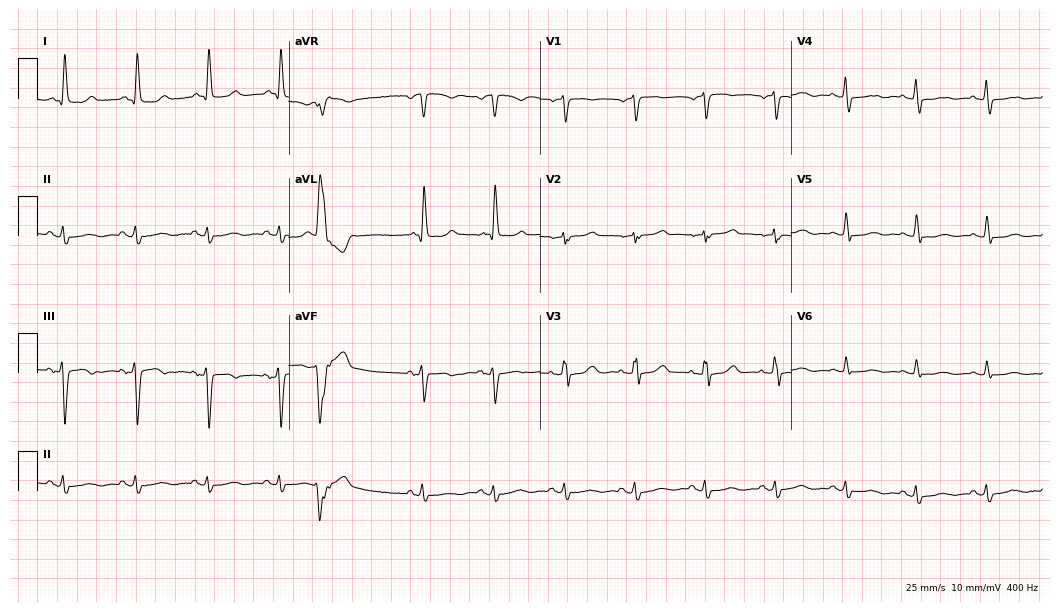
Resting 12-lead electrocardiogram (10.2-second recording at 400 Hz). Patient: a 79-year-old female. None of these six findings is recorded: first-degree AV block, right bundle branch block, left bundle branch block, sinus bradycardia, atrial fibrillation, sinus tachycardia.